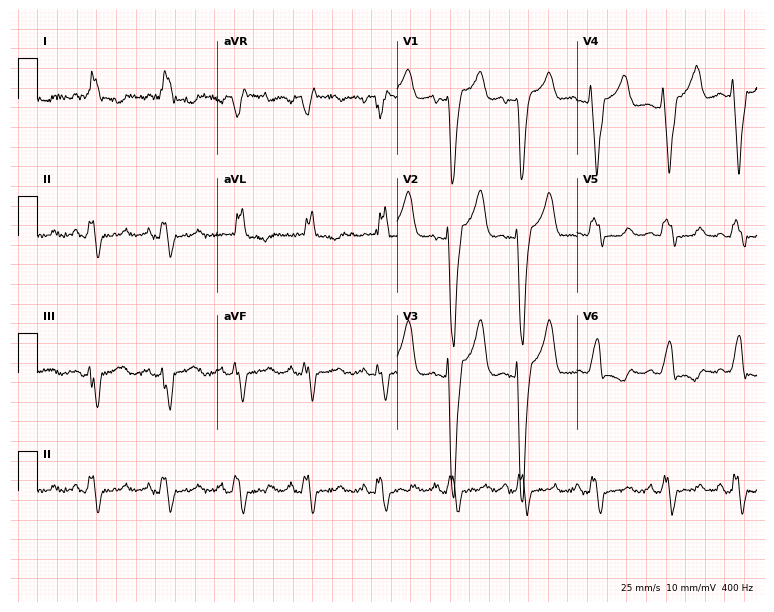
Resting 12-lead electrocardiogram. Patient: a female, 67 years old. The tracing shows left bundle branch block.